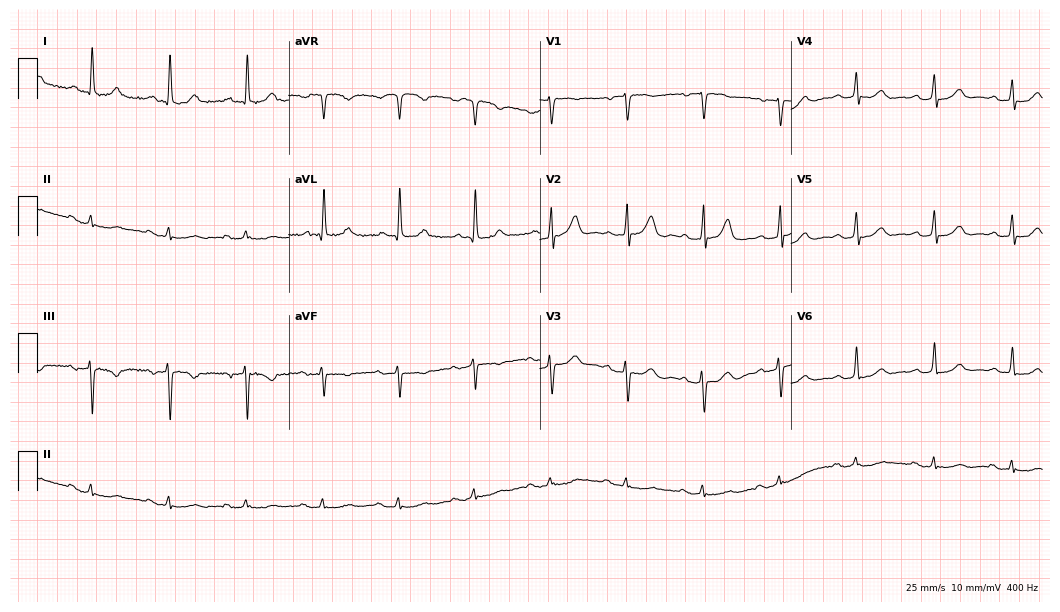
ECG (10.2-second recording at 400 Hz) — a female, 82 years old. Labelled as a normal ECG.